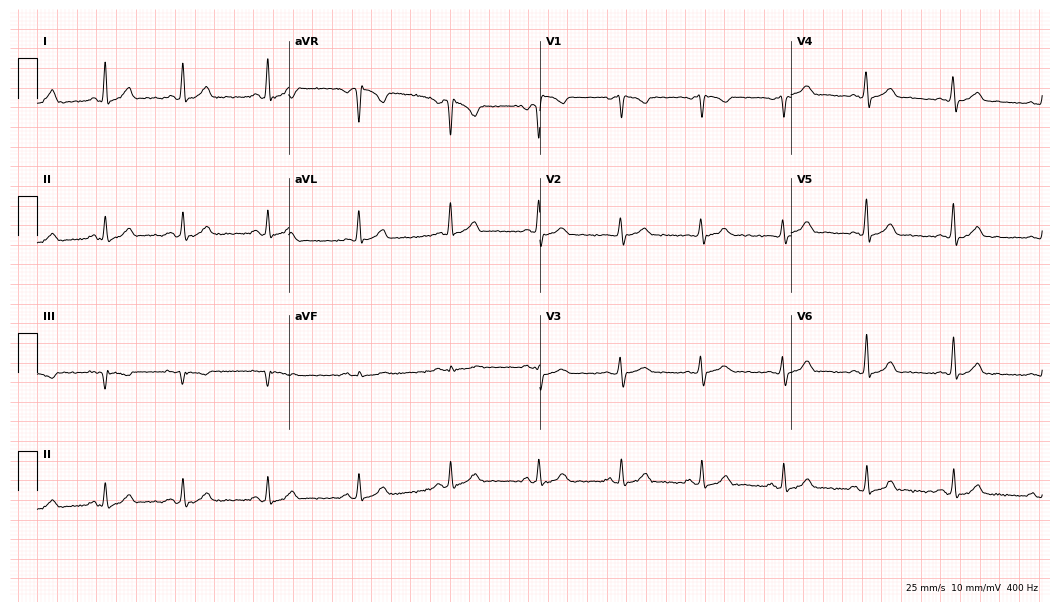
12-lead ECG from a 39-year-old female patient (10.2-second recording at 400 Hz). Recorded interpretation: within normal limits.